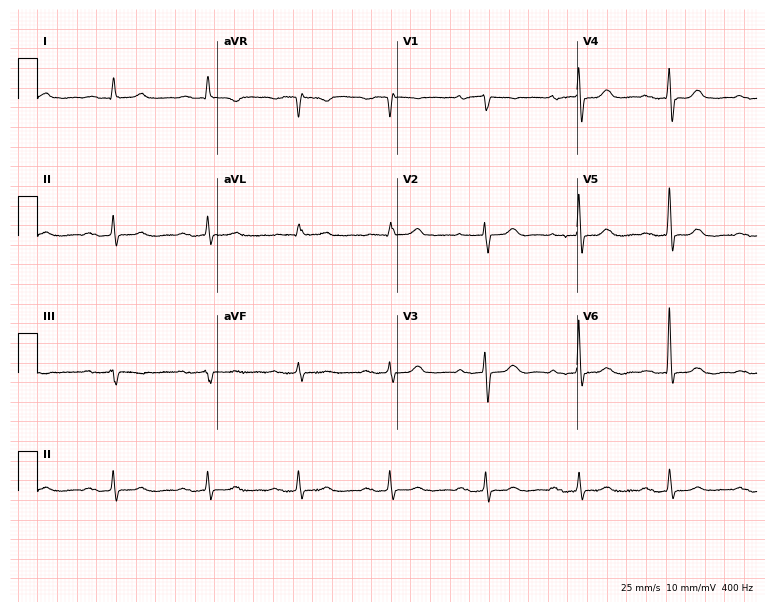
Standard 12-lead ECG recorded from a female, 82 years old (7.3-second recording at 400 Hz). None of these six findings is recorded: first-degree AV block, right bundle branch block, left bundle branch block, sinus bradycardia, atrial fibrillation, sinus tachycardia.